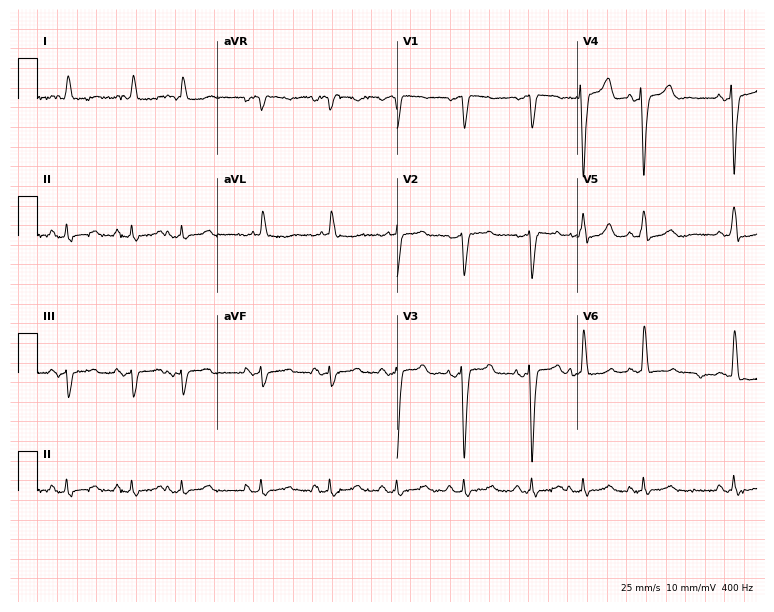
ECG — a female, 83 years old. Screened for six findings — first-degree AV block, right bundle branch block, left bundle branch block, sinus bradycardia, atrial fibrillation, sinus tachycardia — none is recorded. Only these six findings were labelled.